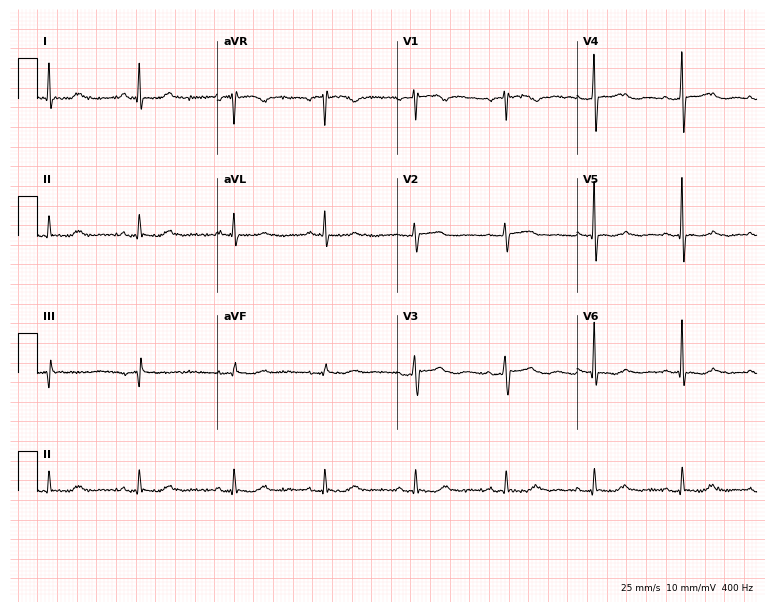
Standard 12-lead ECG recorded from a woman, 69 years old. None of these six findings is recorded: first-degree AV block, right bundle branch block, left bundle branch block, sinus bradycardia, atrial fibrillation, sinus tachycardia.